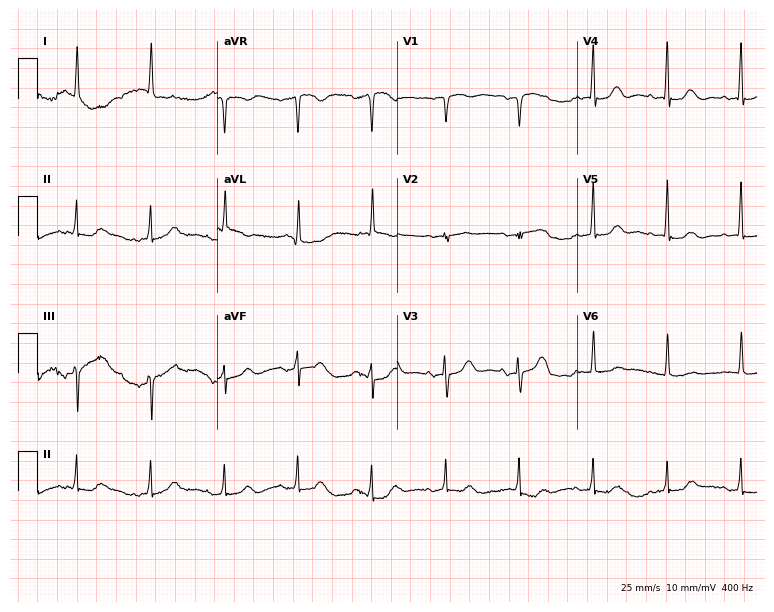
Electrocardiogram, an 83-year-old female. Of the six screened findings (first-degree AV block, right bundle branch block (RBBB), left bundle branch block (LBBB), sinus bradycardia, atrial fibrillation (AF), sinus tachycardia), none is recorded.